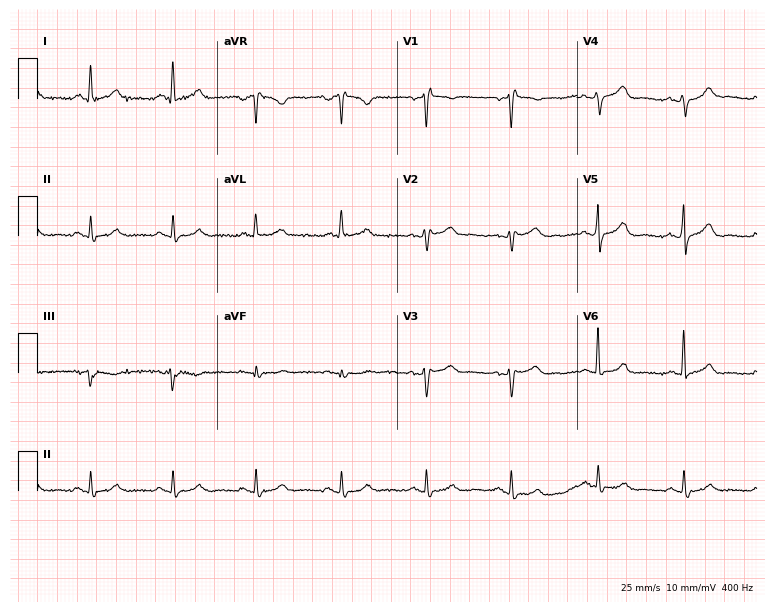
12-lead ECG from a female, 43 years old. Screened for six findings — first-degree AV block, right bundle branch block, left bundle branch block, sinus bradycardia, atrial fibrillation, sinus tachycardia — none is recorded.